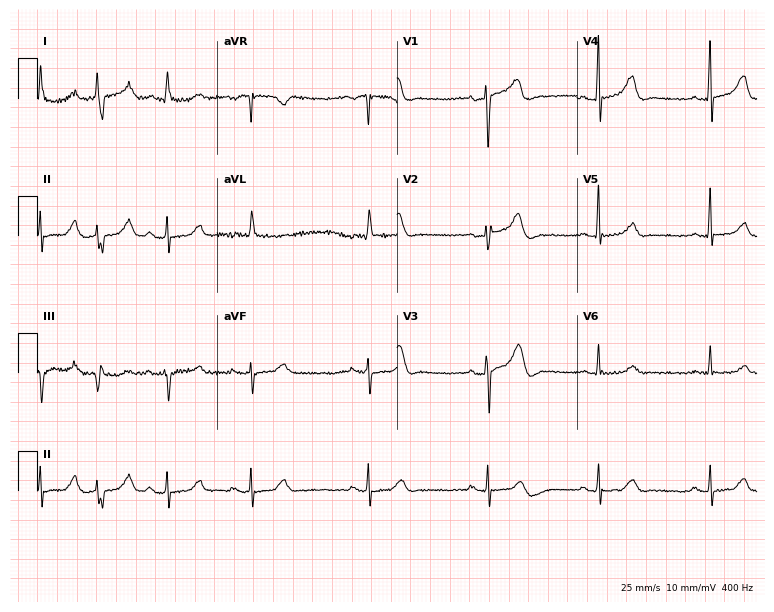
Resting 12-lead electrocardiogram. Patient: an 82-year-old female. Read as a normal ECG.